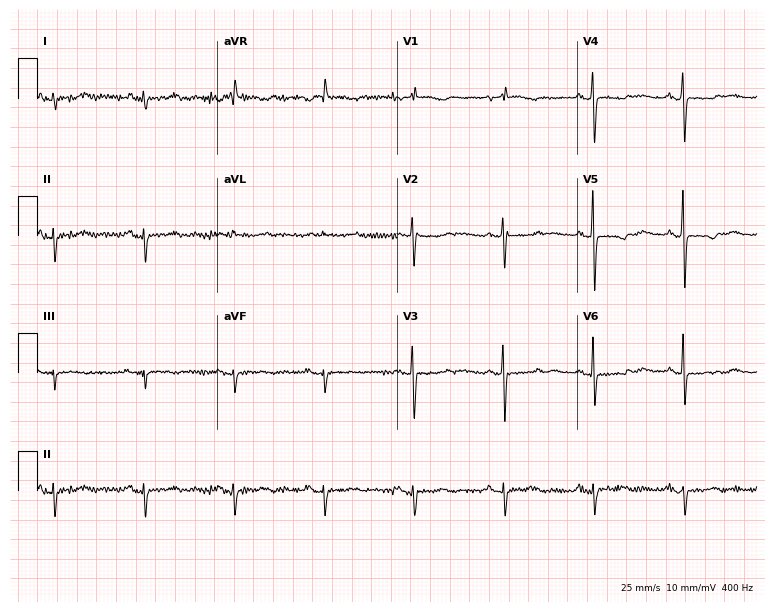
12-lead ECG from a woman, 74 years old (7.3-second recording at 400 Hz). No first-degree AV block, right bundle branch block, left bundle branch block, sinus bradycardia, atrial fibrillation or sinus tachycardia recorded for this tracing.